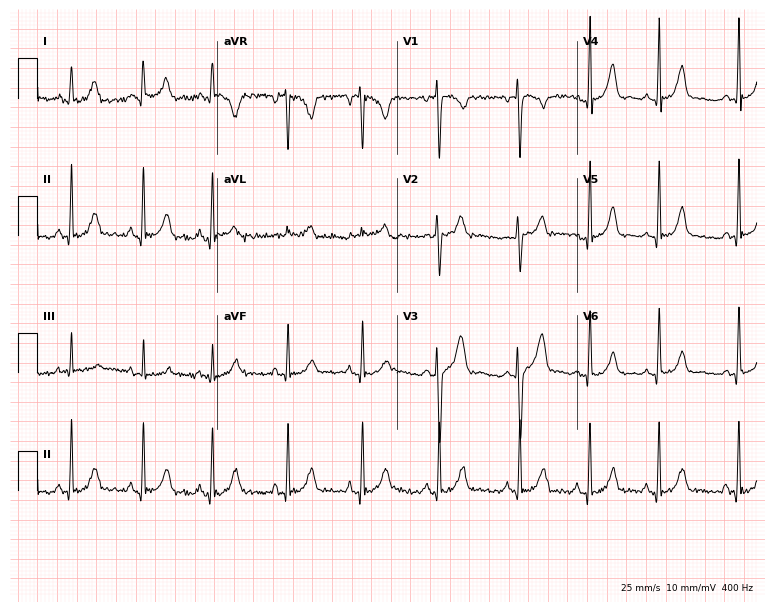
12-lead ECG from a 22-year-old woman (7.3-second recording at 400 Hz). Recorded interpretation: within normal limits.